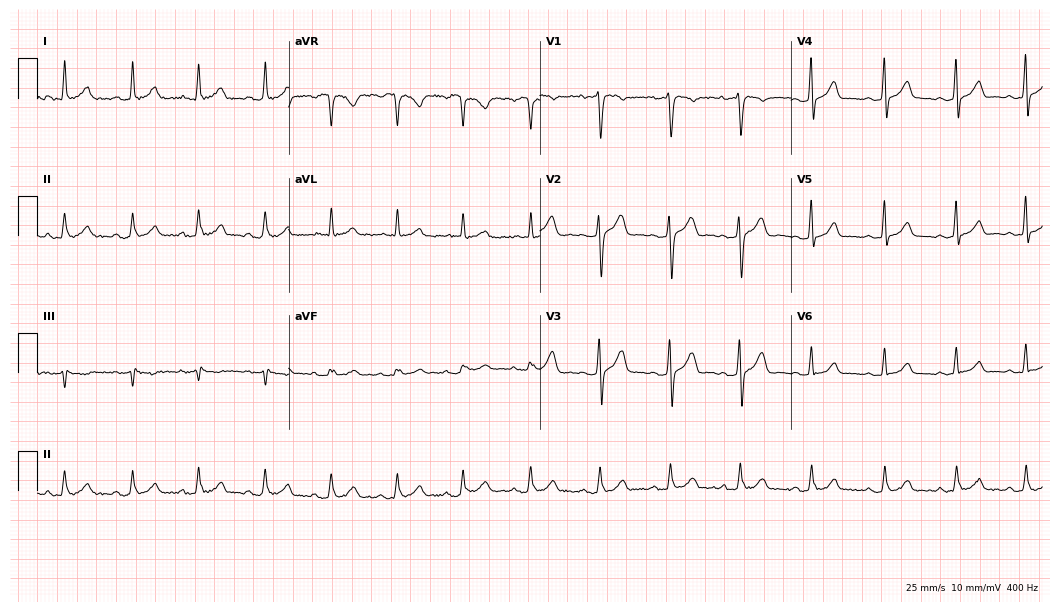
Standard 12-lead ECG recorded from a man, 47 years old (10.2-second recording at 400 Hz). Read as a normal ECG.